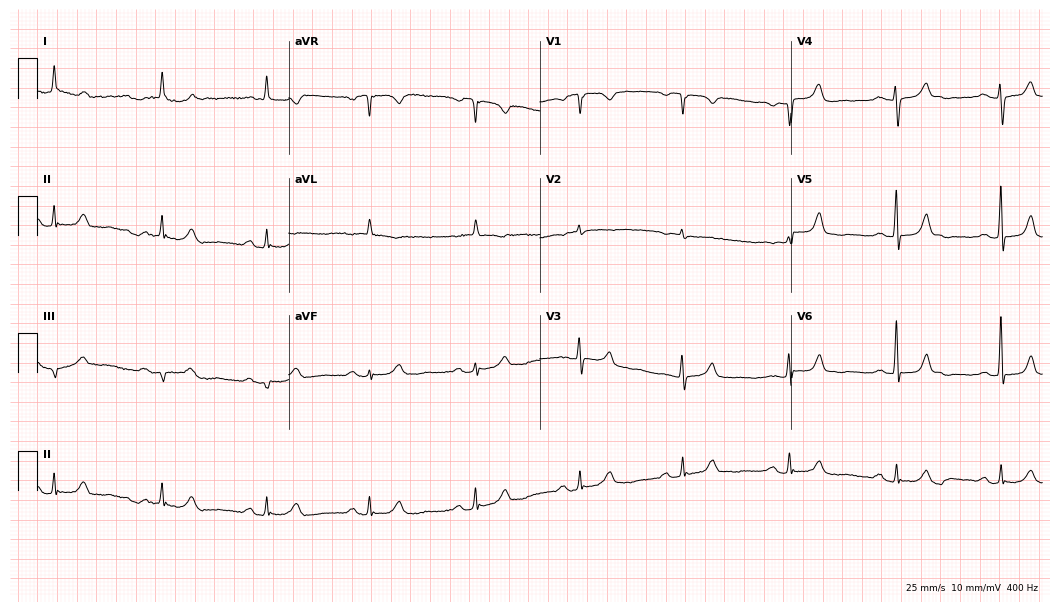
Standard 12-lead ECG recorded from an 82-year-old woman. Read as a normal ECG.